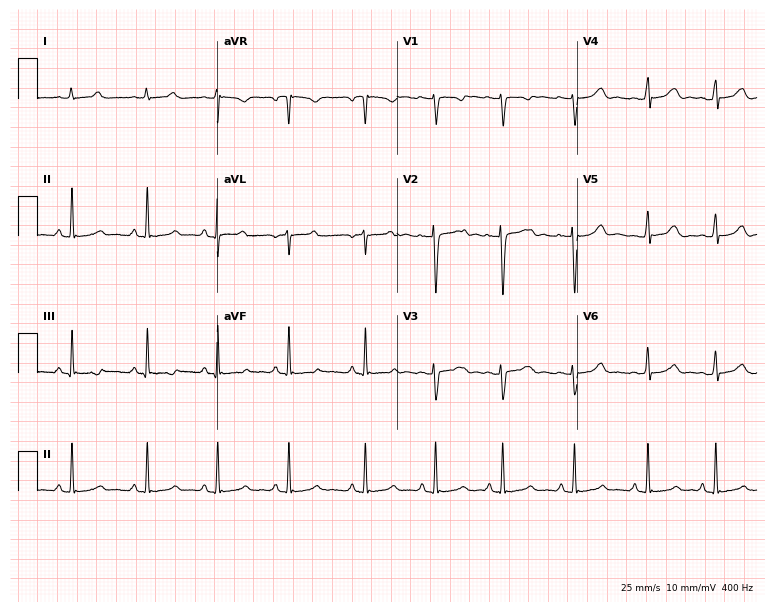
Electrocardiogram, a 21-year-old woman. Overall reading on record: normal ECG.